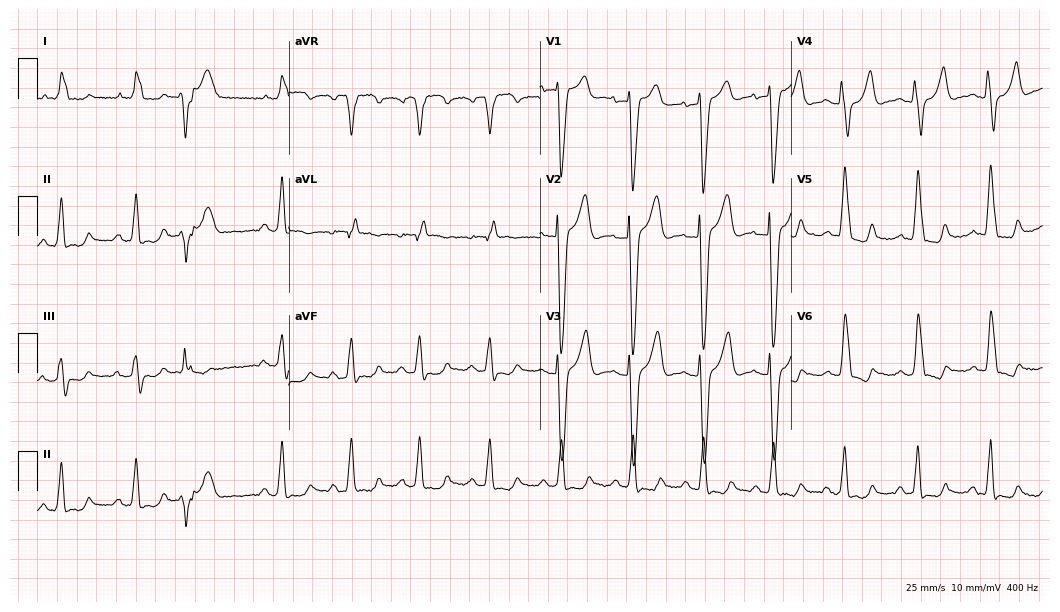
ECG (10.2-second recording at 400 Hz) — an 82-year-old woman. Findings include left bundle branch block.